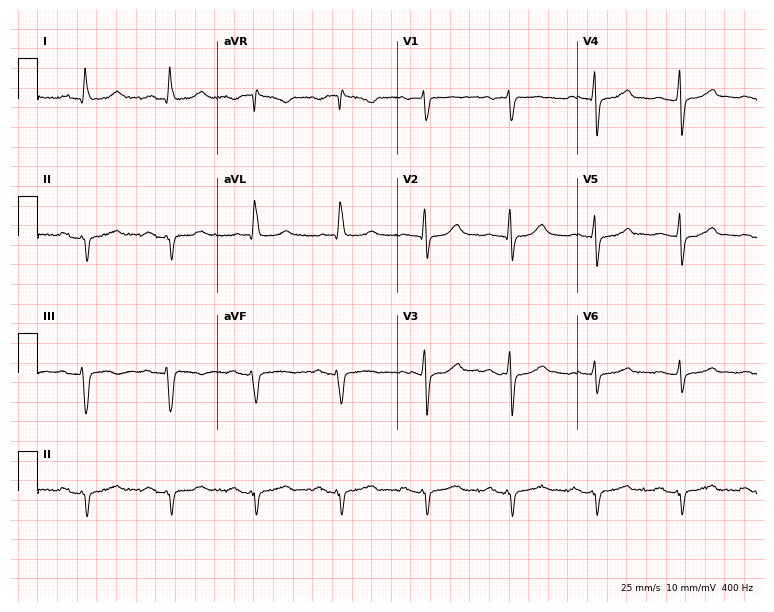
12-lead ECG from an 82-year-old male patient. Screened for six findings — first-degree AV block, right bundle branch block, left bundle branch block, sinus bradycardia, atrial fibrillation, sinus tachycardia — none is recorded.